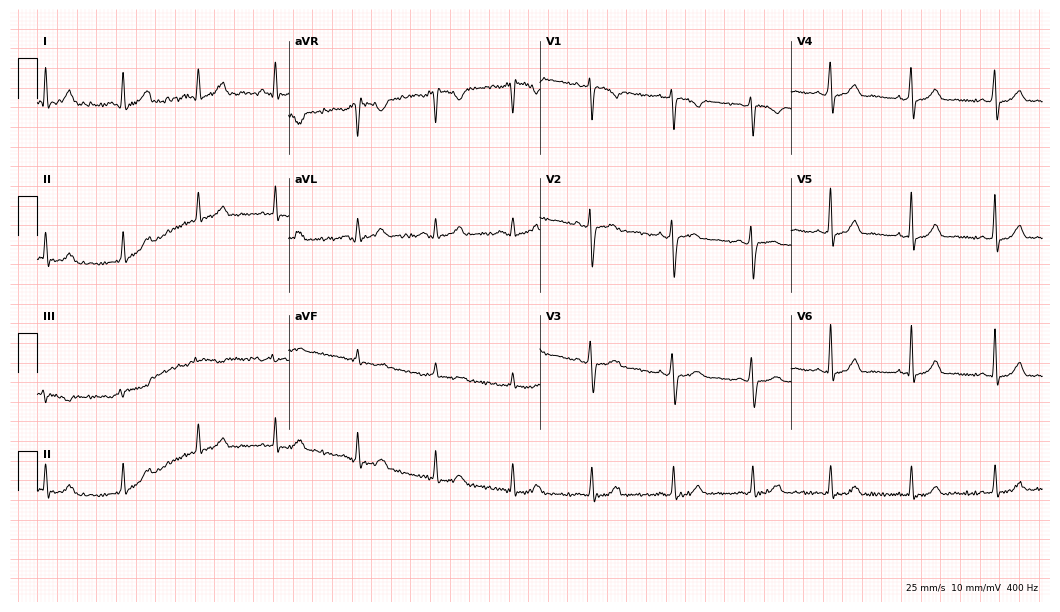
Electrocardiogram (10.2-second recording at 400 Hz), a female patient, 38 years old. Overall reading on record: normal ECG.